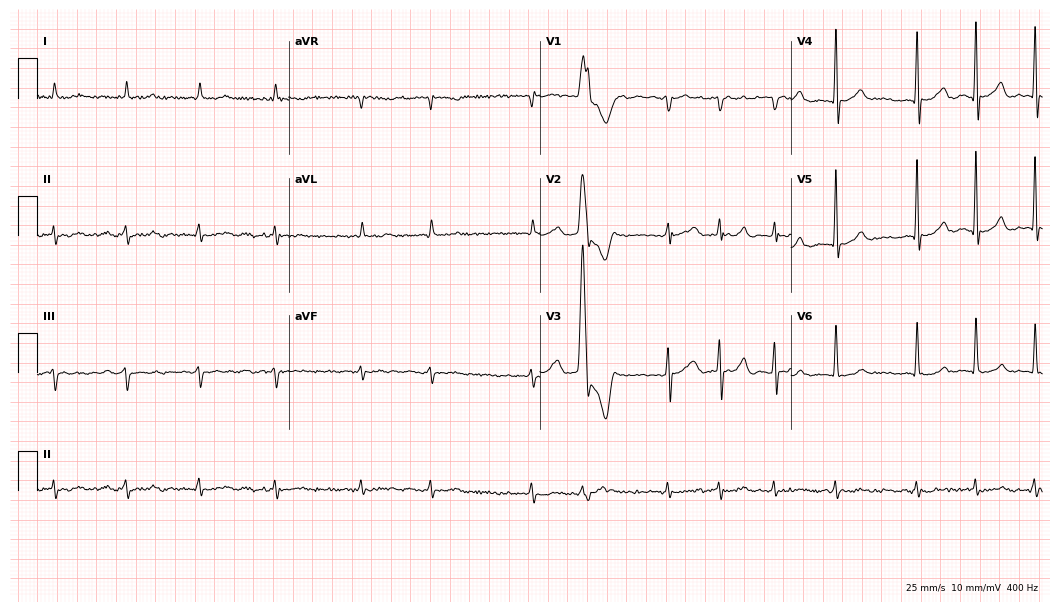
12-lead ECG from a male, 70 years old. Findings include atrial fibrillation (AF).